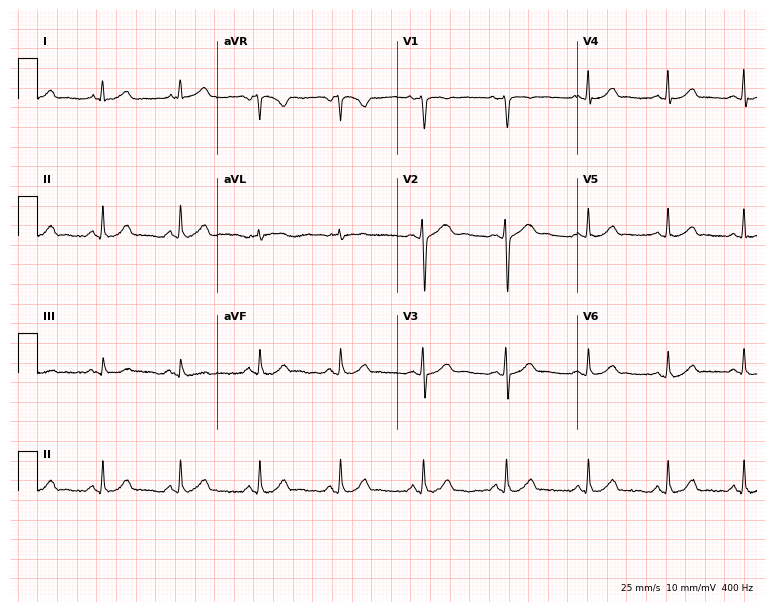
Standard 12-lead ECG recorded from a woman, 40 years old (7.3-second recording at 400 Hz). Read as a normal ECG.